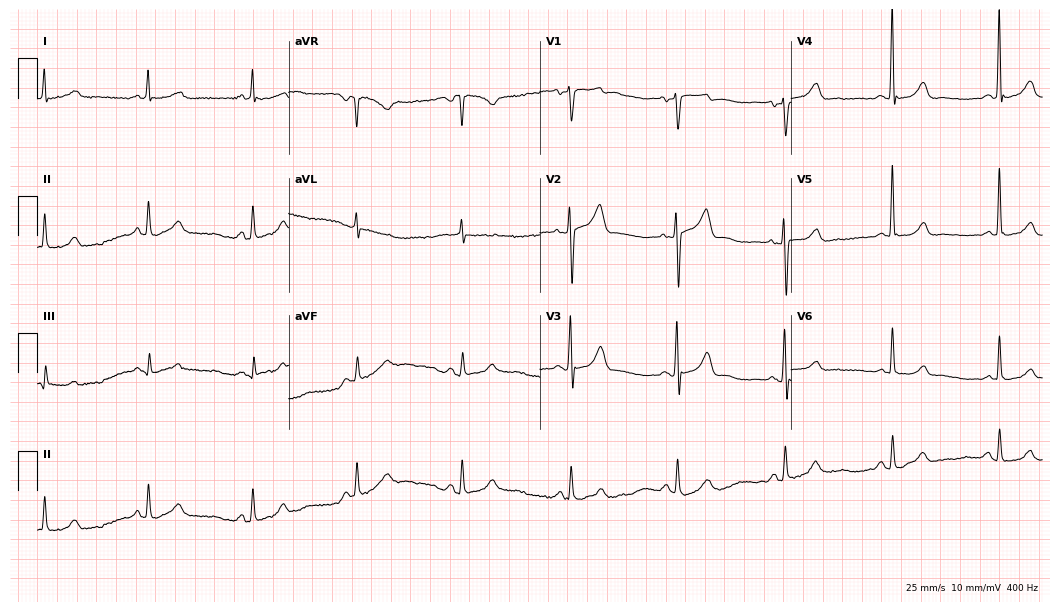
Resting 12-lead electrocardiogram. Patient: a man, 64 years old. None of these six findings is recorded: first-degree AV block, right bundle branch block, left bundle branch block, sinus bradycardia, atrial fibrillation, sinus tachycardia.